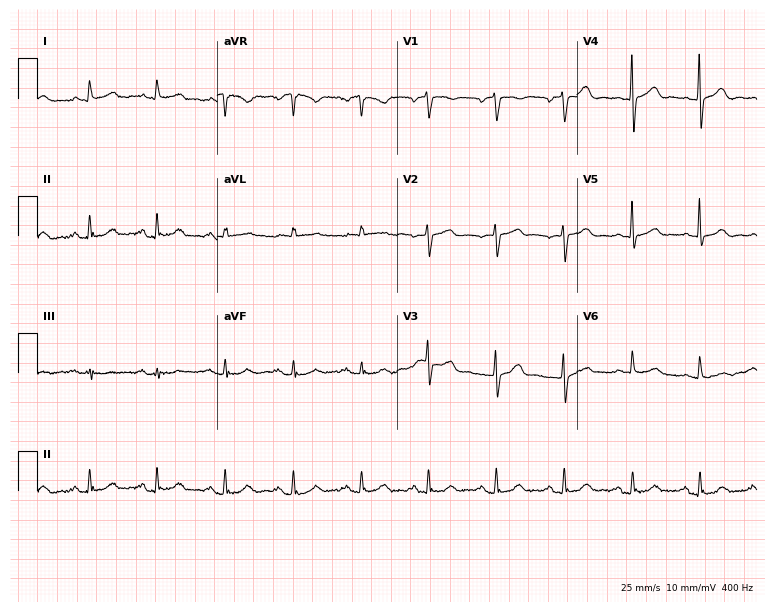
Resting 12-lead electrocardiogram (7.3-second recording at 400 Hz). Patient: an 80-year-old woman. None of these six findings is recorded: first-degree AV block, right bundle branch block, left bundle branch block, sinus bradycardia, atrial fibrillation, sinus tachycardia.